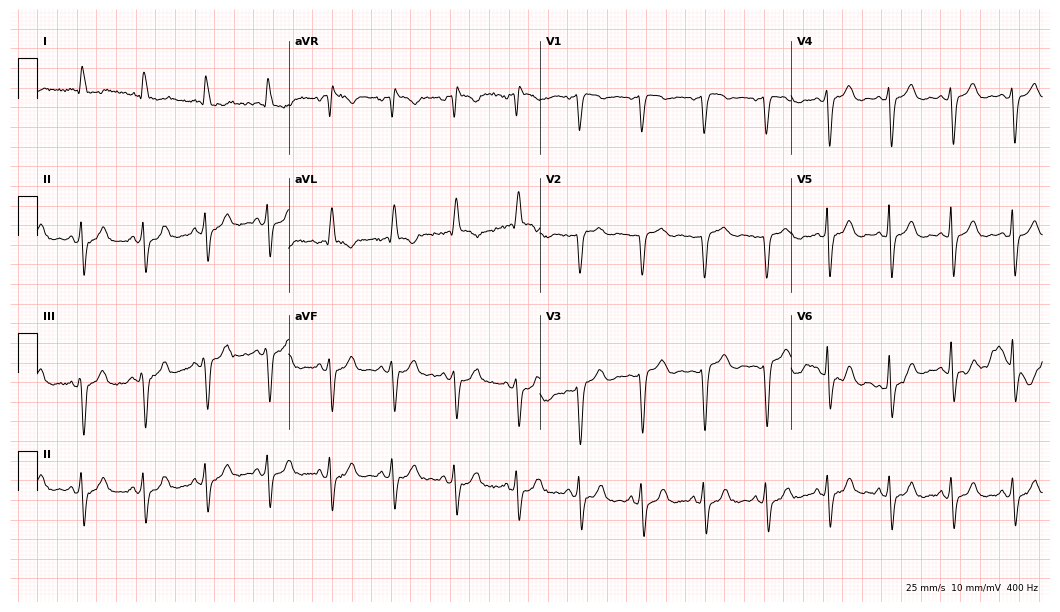
Electrocardiogram, a woman, 85 years old. Of the six screened findings (first-degree AV block, right bundle branch block (RBBB), left bundle branch block (LBBB), sinus bradycardia, atrial fibrillation (AF), sinus tachycardia), none is recorded.